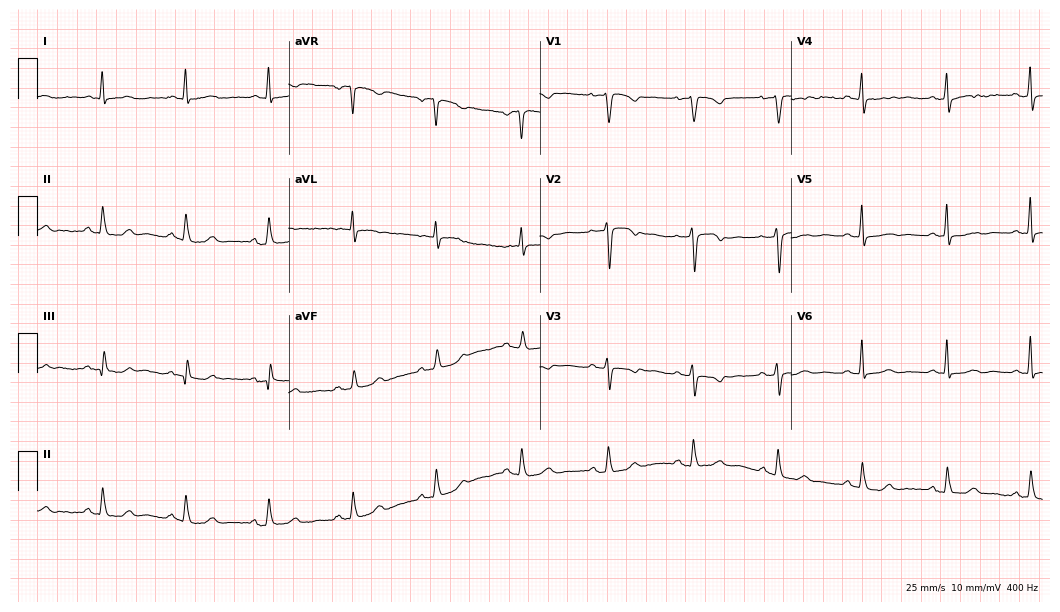
Electrocardiogram, a 68-year-old woman. Of the six screened findings (first-degree AV block, right bundle branch block, left bundle branch block, sinus bradycardia, atrial fibrillation, sinus tachycardia), none is recorded. Other findings, if any, are not listed.